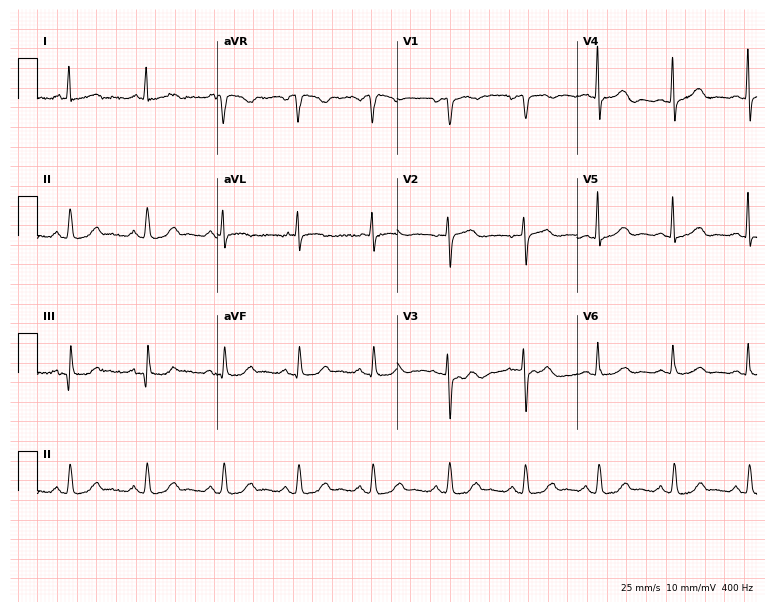
Resting 12-lead electrocardiogram (7.3-second recording at 400 Hz). Patient: a 68-year-old female. Read as a normal ECG.